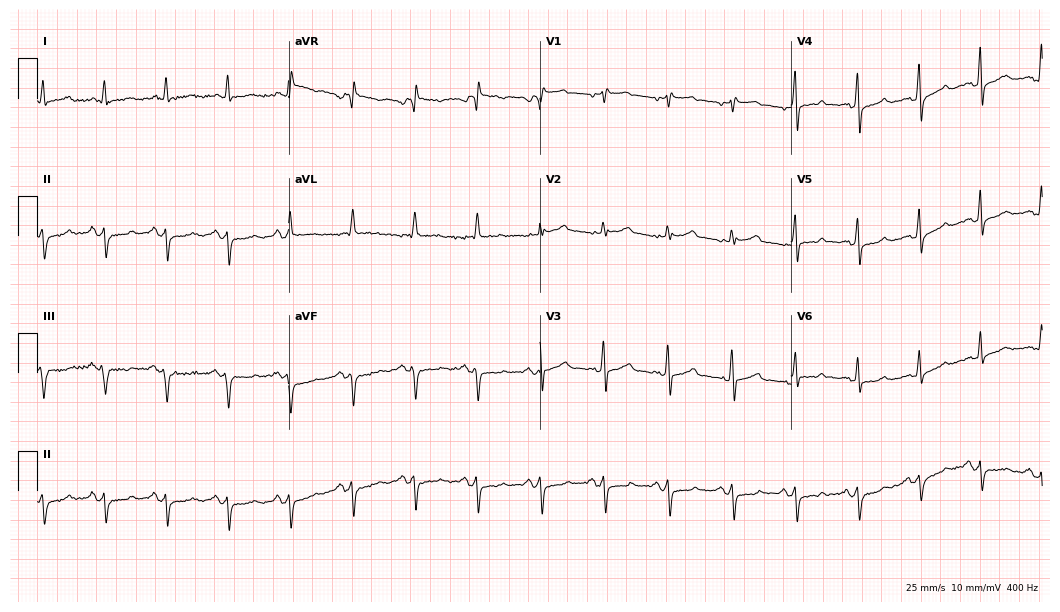
ECG (10.2-second recording at 400 Hz) — a 77-year-old male. Screened for six findings — first-degree AV block, right bundle branch block, left bundle branch block, sinus bradycardia, atrial fibrillation, sinus tachycardia — none is recorded. Only these six findings were labelled.